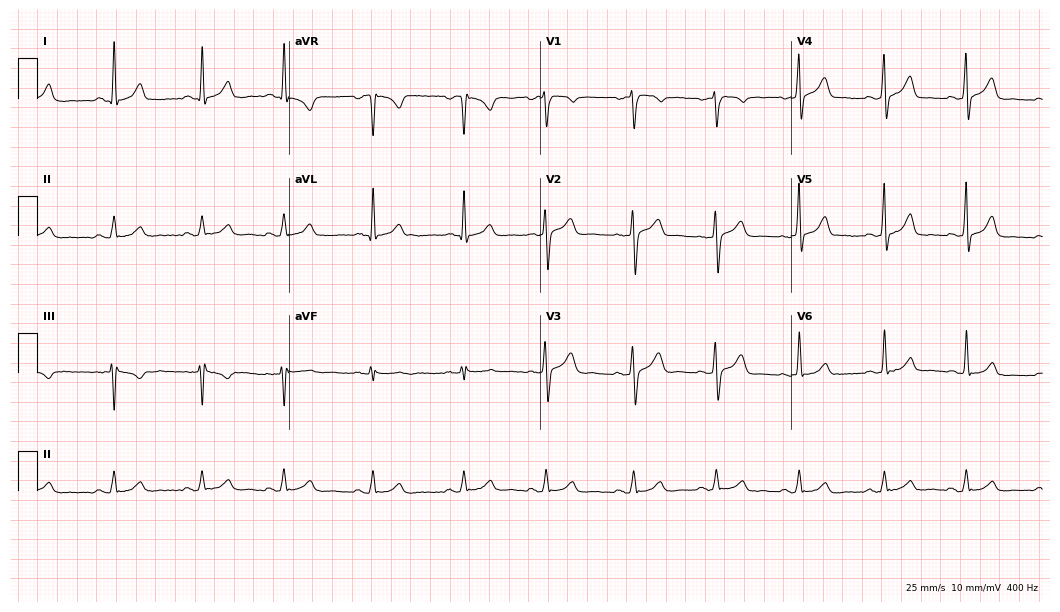
Standard 12-lead ECG recorded from a male patient, 28 years old. None of these six findings is recorded: first-degree AV block, right bundle branch block, left bundle branch block, sinus bradycardia, atrial fibrillation, sinus tachycardia.